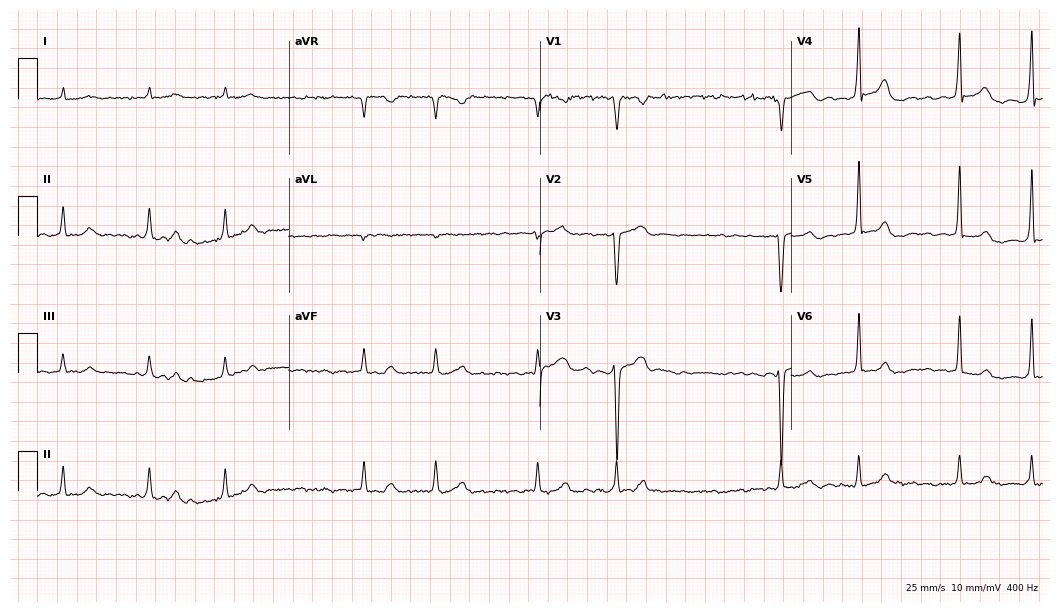
12-lead ECG from a 44-year-old man (10.2-second recording at 400 Hz). No first-degree AV block, right bundle branch block (RBBB), left bundle branch block (LBBB), sinus bradycardia, atrial fibrillation (AF) or sinus tachycardia recorded for this tracing.